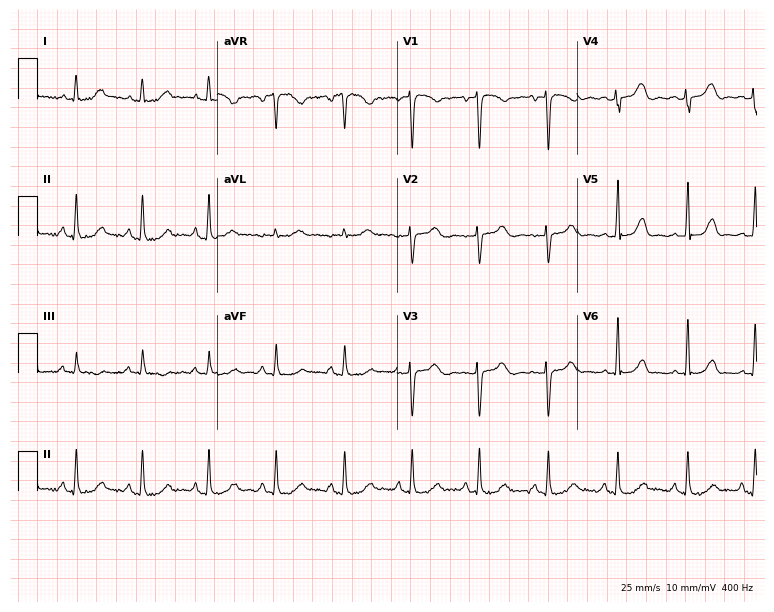
Electrocardiogram (7.3-second recording at 400 Hz), a female, 46 years old. Overall reading on record: normal ECG.